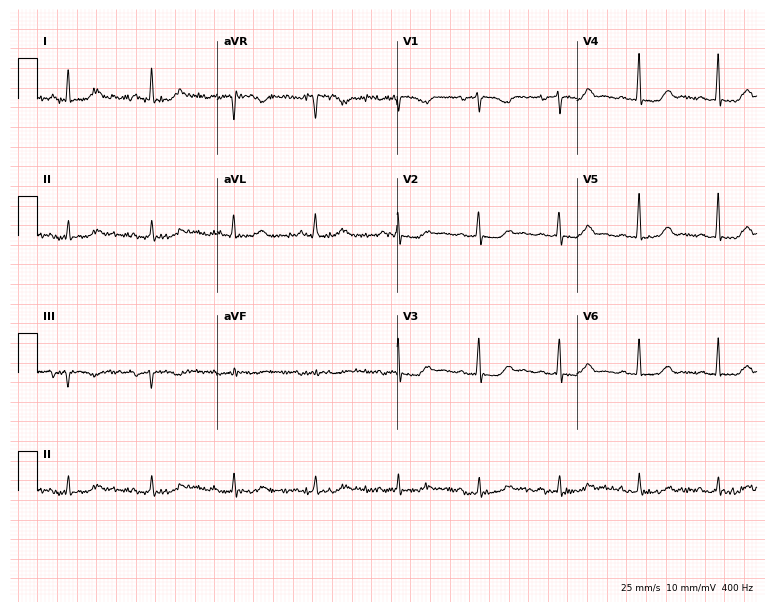
Resting 12-lead electrocardiogram (7.3-second recording at 400 Hz). Patient: a 71-year-old woman. Read as a normal ECG.